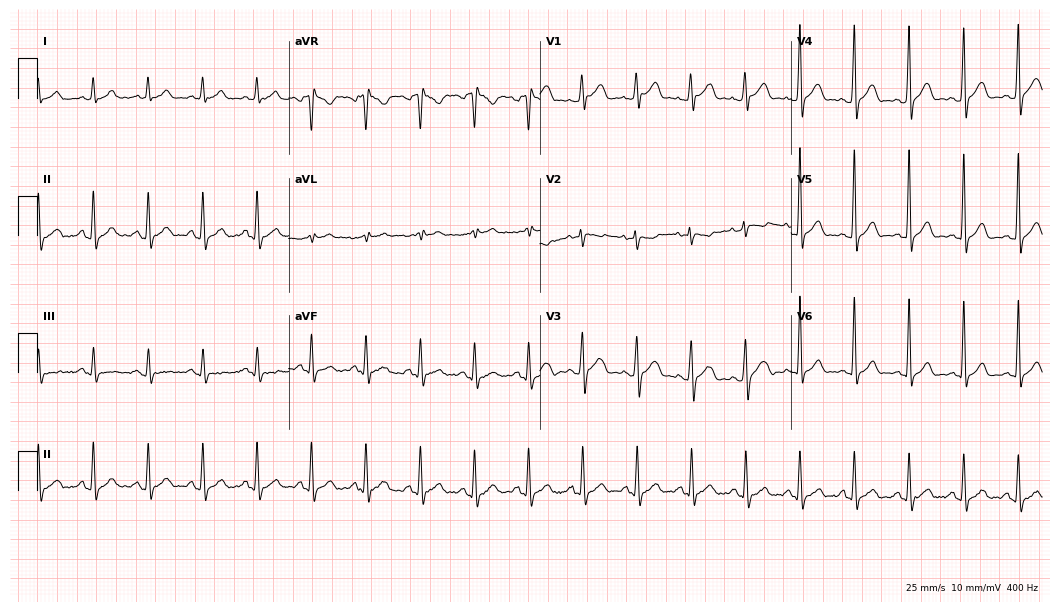
Resting 12-lead electrocardiogram (10.2-second recording at 400 Hz). Patient: a 44-year-old male. The tracing shows sinus tachycardia (a sinus rate of 100 beats per minute or more).